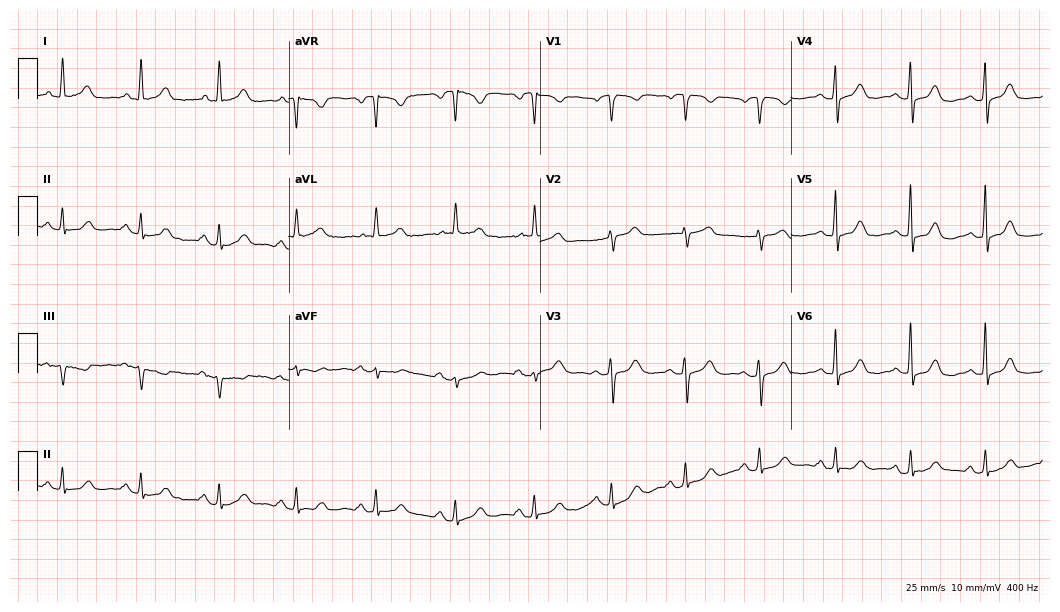
12-lead ECG from a 76-year-old woman. Recorded interpretation: within normal limits.